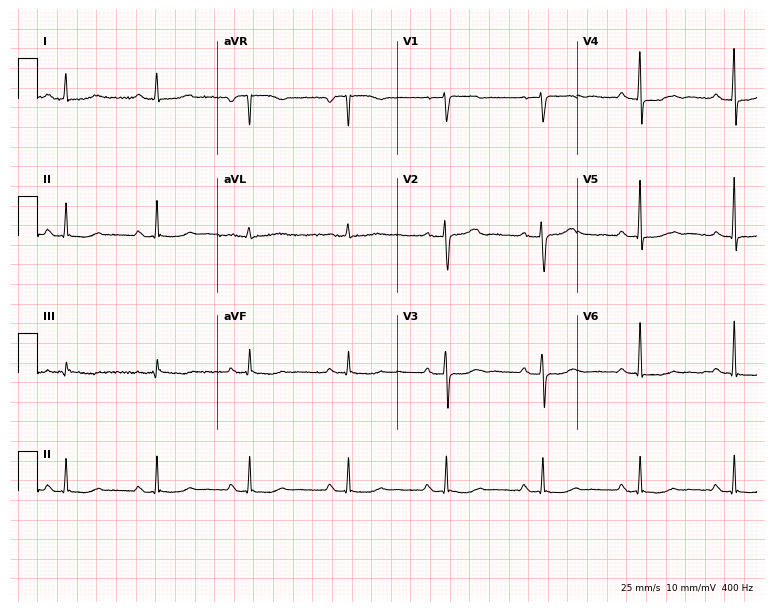
ECG — a 51-year-old woman. Screened for six findings — first-degree AV block, right bundle branch block, left bundle branch block, sinus bradycardia, atrial fibrillation, sinus tachycardia — none is recorded. Other findings, if any, are not listed.